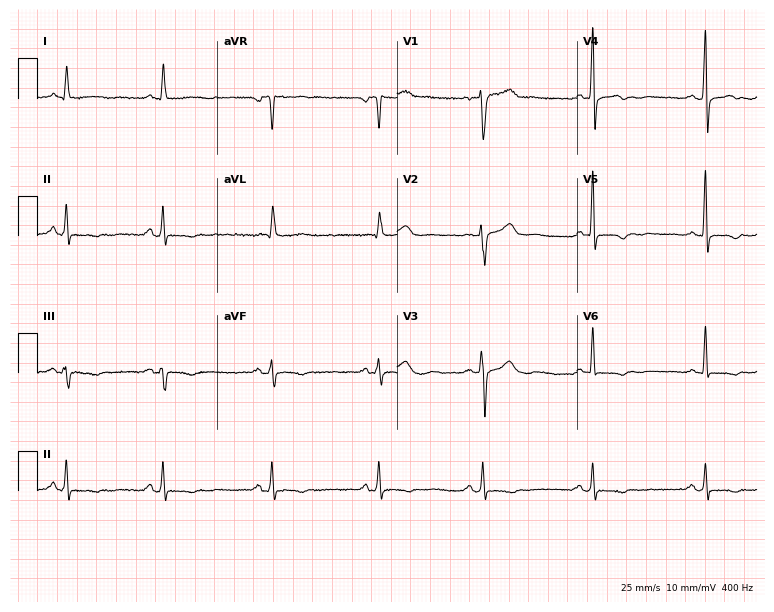
12-lead ECG from a 59-year-old woman (7.3-second recording at 400 Hz). No first-degree AV block, right bundle branch block, left bundle branch block, sinus bradycardia, atrial fibrillation or sinus tachycardia recorded for this tracing. Other findings, if any, are not listed.